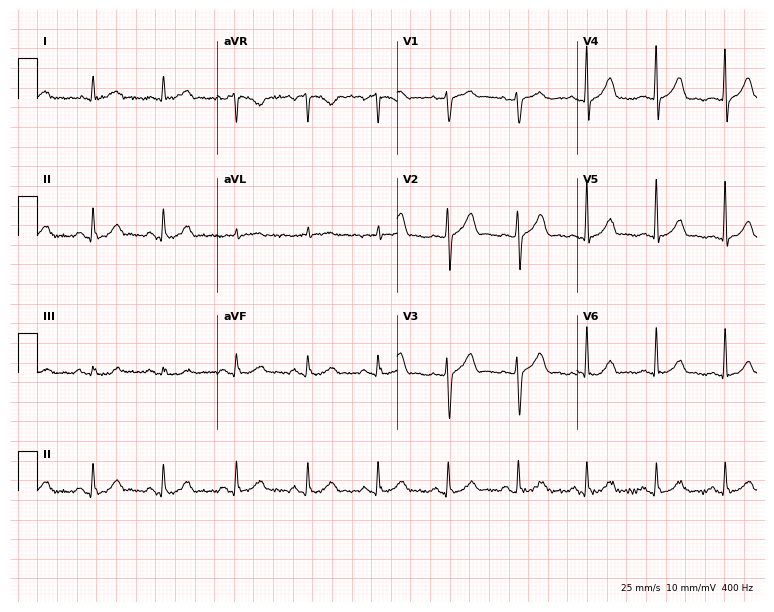
Standard 12-lead ECG recorded from a 55-year-old male patient. Read as a normal ECG.